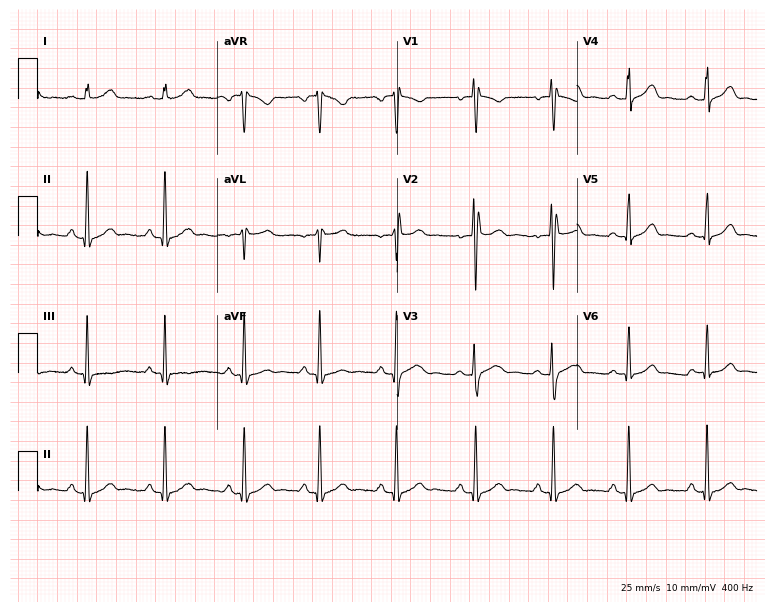
12-lead ECG from a 22-year-old female (7.3-second recording at 400 Hz). Recorded interpretation: within normal limits.